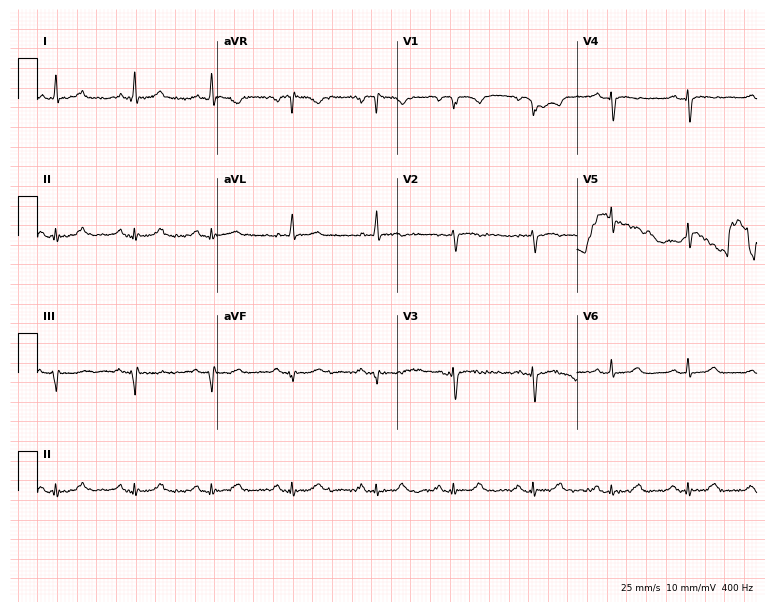
12-lead ECG from a 66-year-old man. No first-degree AV block, right bundle branch block (RBBB), left bundle branch block (LBBB), sinus bradycardia, atrial fibrillation (AF) or sinus tachycardia recorded for this tracing.